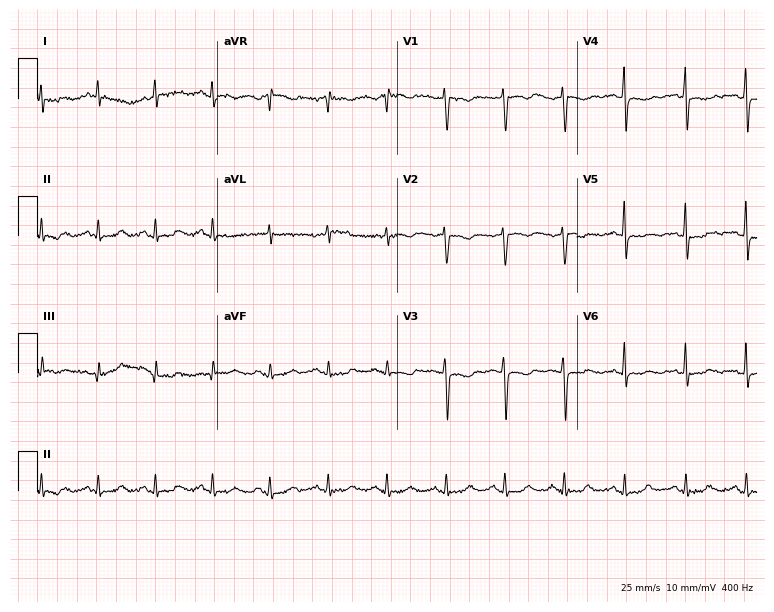
12-lead ECG from a 65-year-old female. No first-degree AV block, right bundle branch block, left bundle branch block, sinus bradycardia, atrial fibrillation or sinus tachycardia recorded for this tracing. Other findings, if any, are not listed.